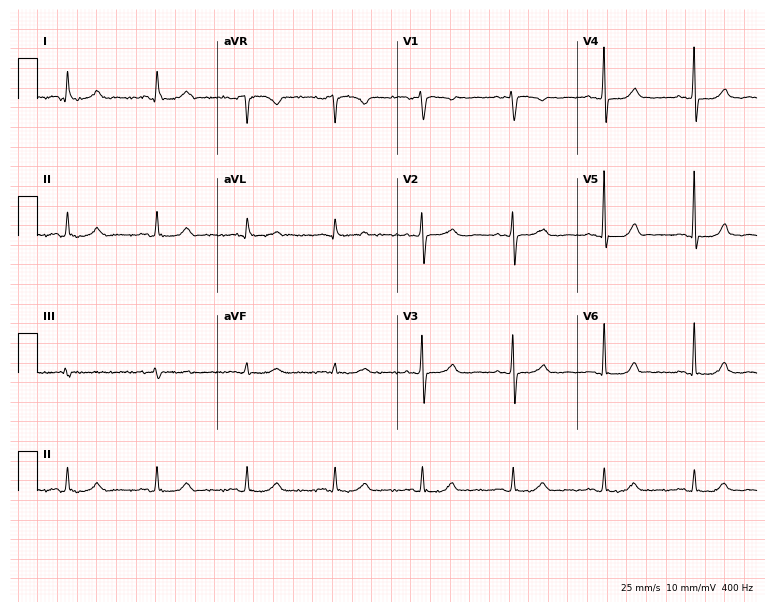
Standard 12-lead ECG recorded from a 62-year-old female patient. Read as a normal ECG.